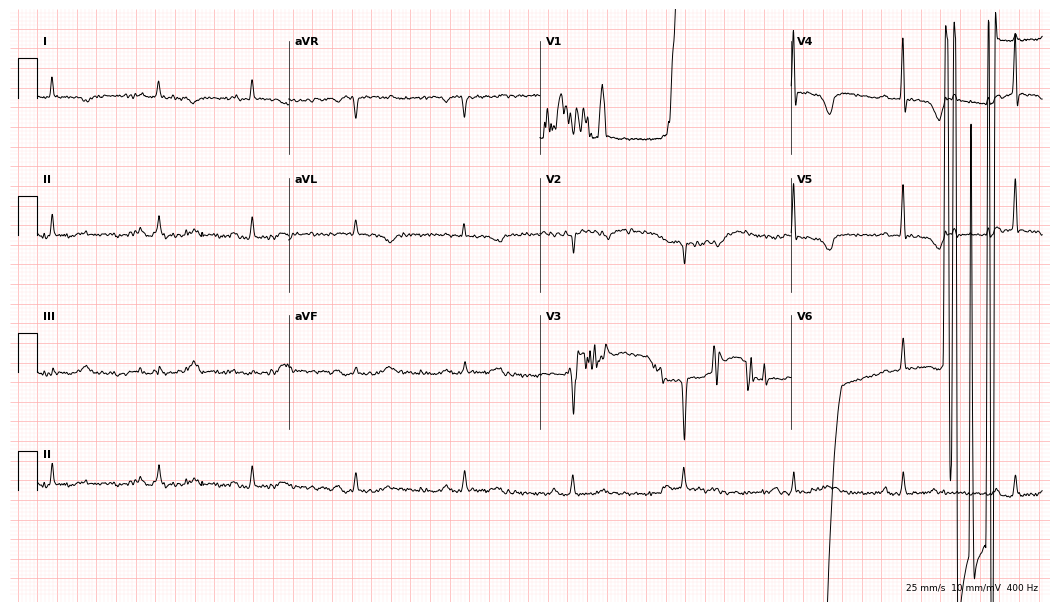
Electrocardiogram, a man, 62 years old. Of the six screened findings (first-degree AV block, right bundle branch block (RBBB), left bundle branch block (LBBB), sinus bradycardia, atrial fibrillation (AF), sinus tachycardia), none is recorded. Only these six findings were labelled.